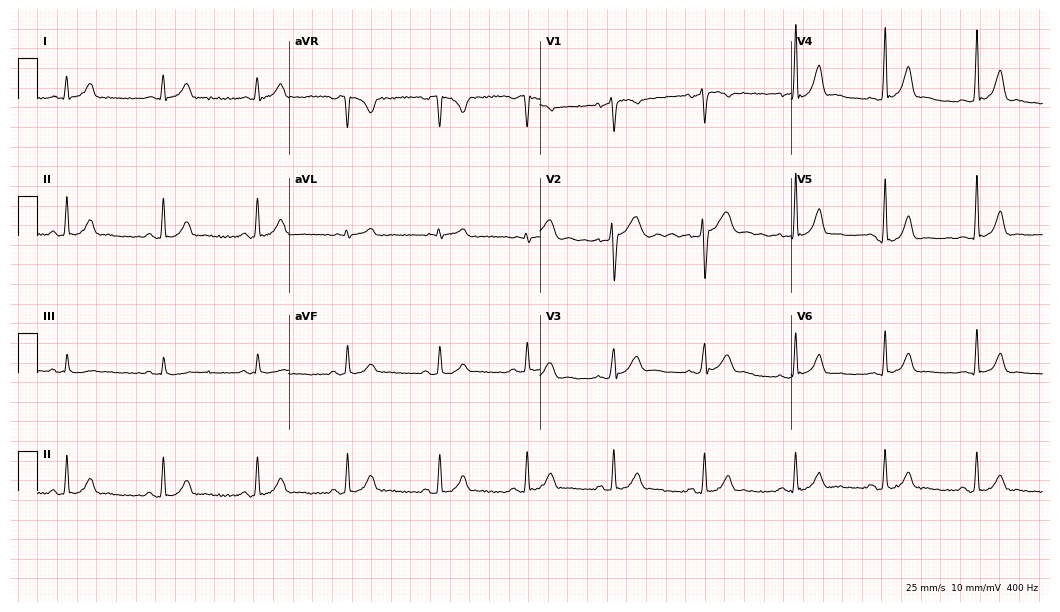
12-lead ECG from a male patient, 24 years old. Labelled as a normal ECG.